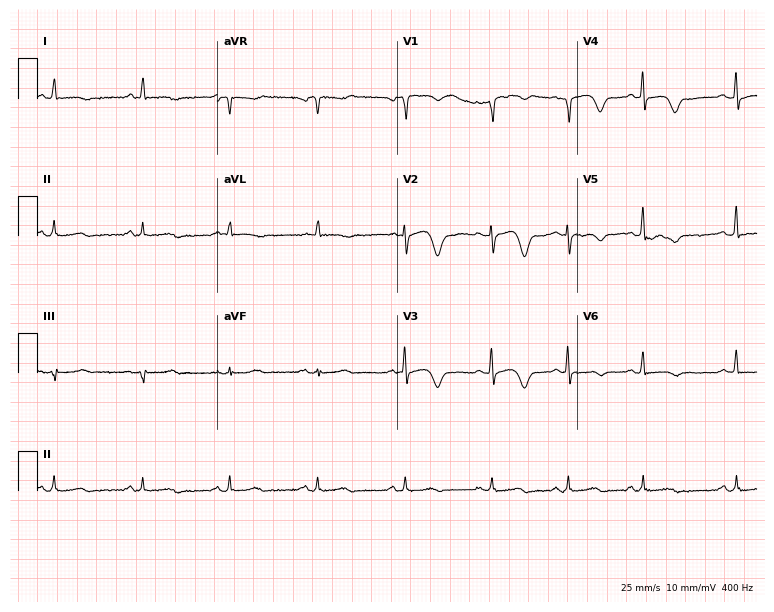
12-lead ECG from a female, 77 years old. Screened for six findings — first-degree AV block, right bundle branch block, left bundle branch block, sinus bradycardia, atrial fibrillation, sinus tachycardia — none is recorded.